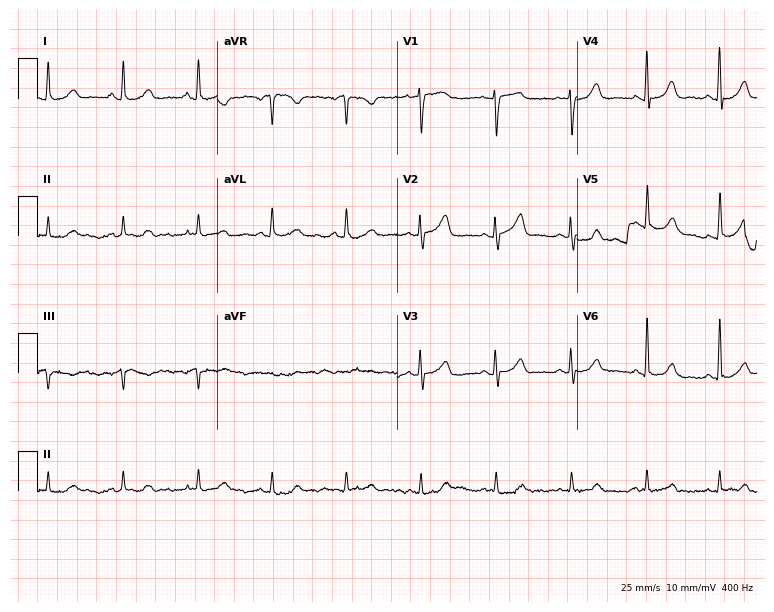
Electrocardiogram, an 81-year-old woman. Overall reading on record: normal ECG.